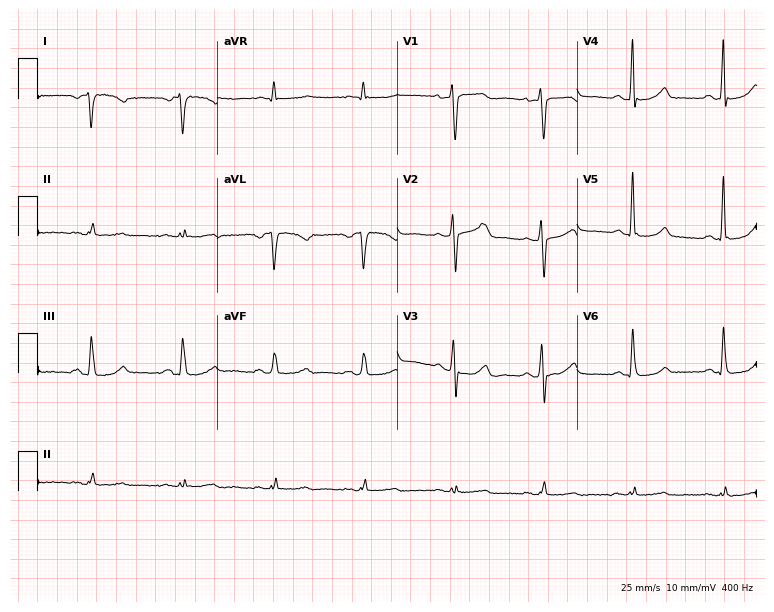
Standard 12-lead ECG recorded from a female, 62 years old. None of these six findings is recorded: first-degree AV block, right bundle branch block, left bundle branch block, sinus bradycardia, atrial fibrillation, sinus tachycardia.